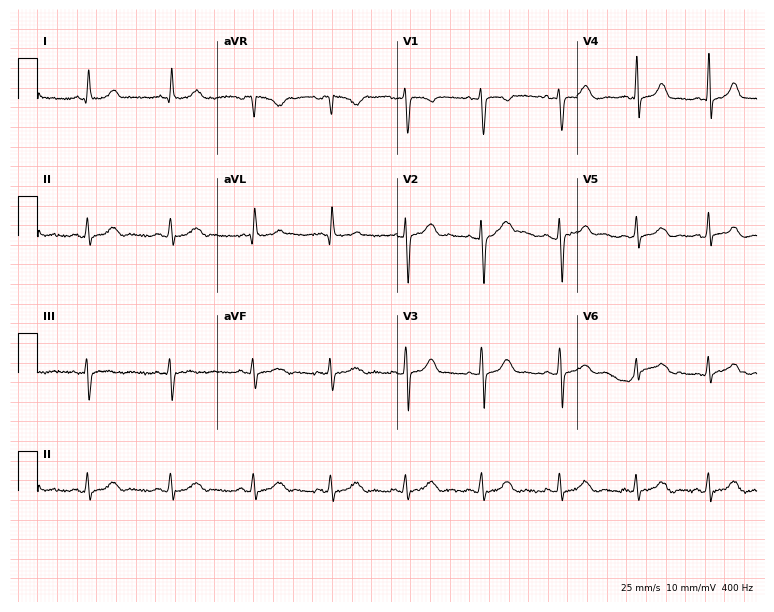
Resting 12-lead electrocardiogram. Patient: a female, 44 years old. Read as a normal ECG.